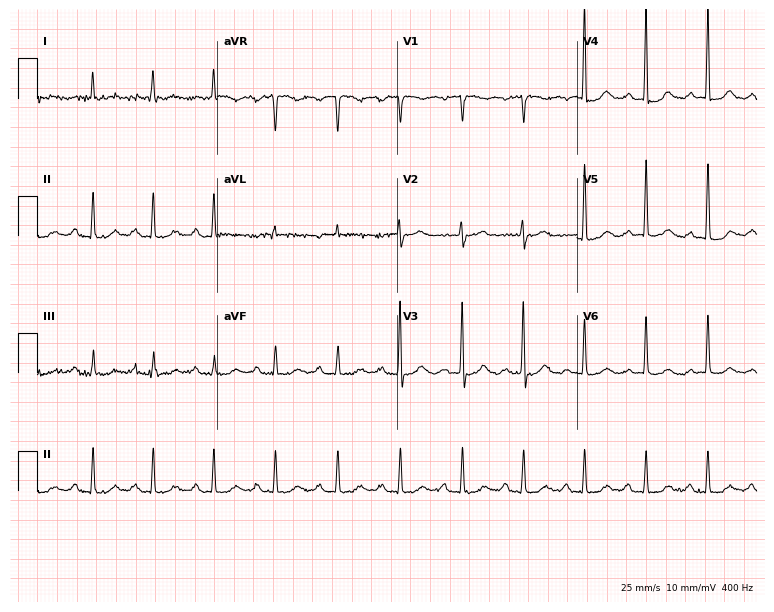
12-lead ECG from a female, 78 years old (7.3-second recording at 400 Hz). Recorded interpretation: within normal limits.